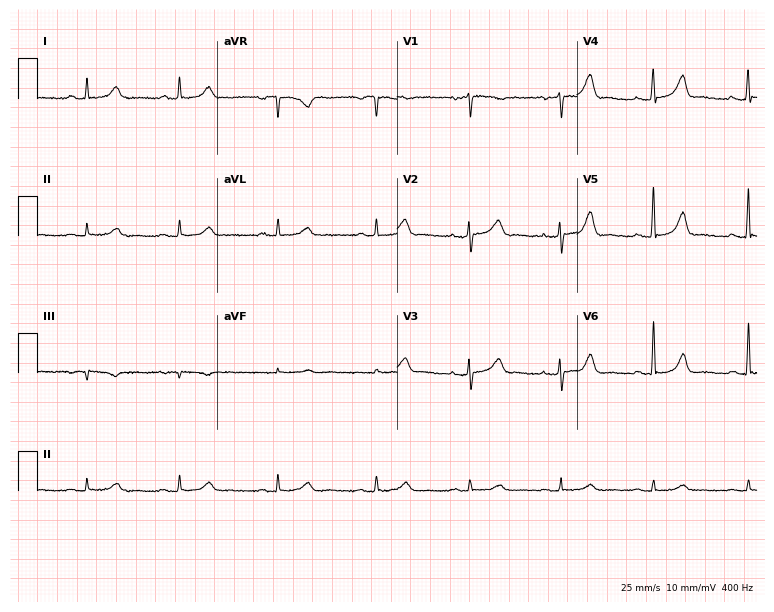
Electrocardiogram (7.3-second recording at 400 Hz), a 53-year-old female. Overall reading on record: normal ECG.